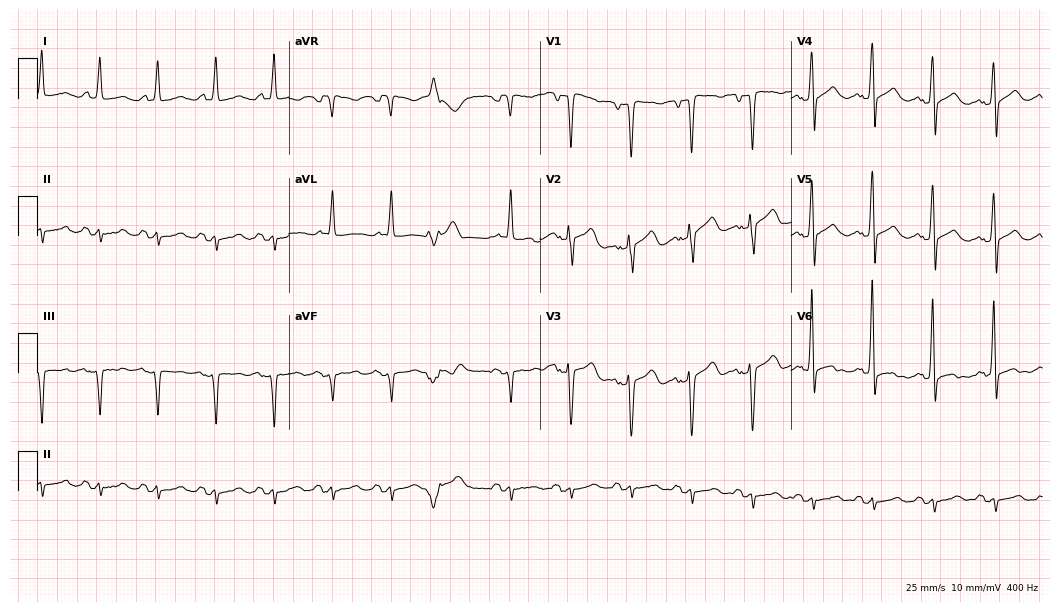
Resting 12-lead electrocardiogram. Patient: a male, 79 years old. None of these six findings is recorded: first-degree AV block, right bundle branch block (RBBB), left bundle branch block (LBBB), sinus bradycardia, atrial fibrillation (AF), sinus tachycardia.